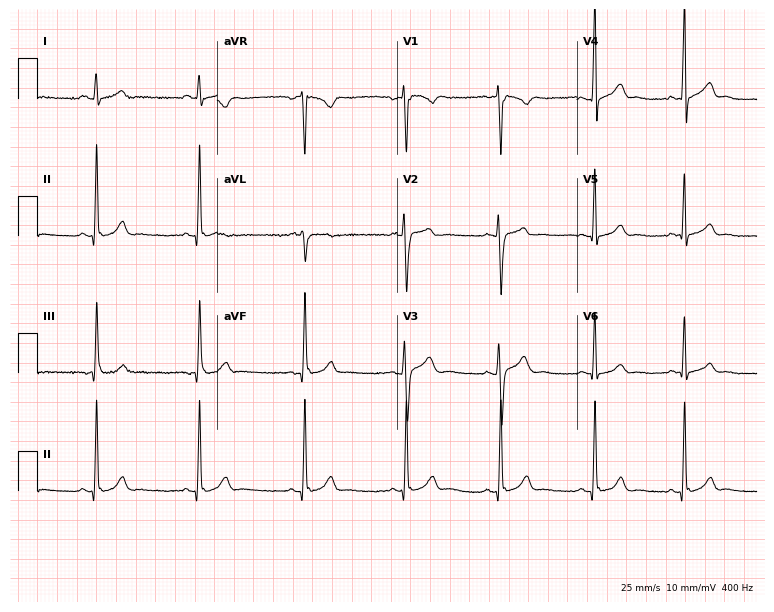
ECG (7.3-second recording at 400 Hz) — a 27-year-old male. Labelled as a normal ECG.